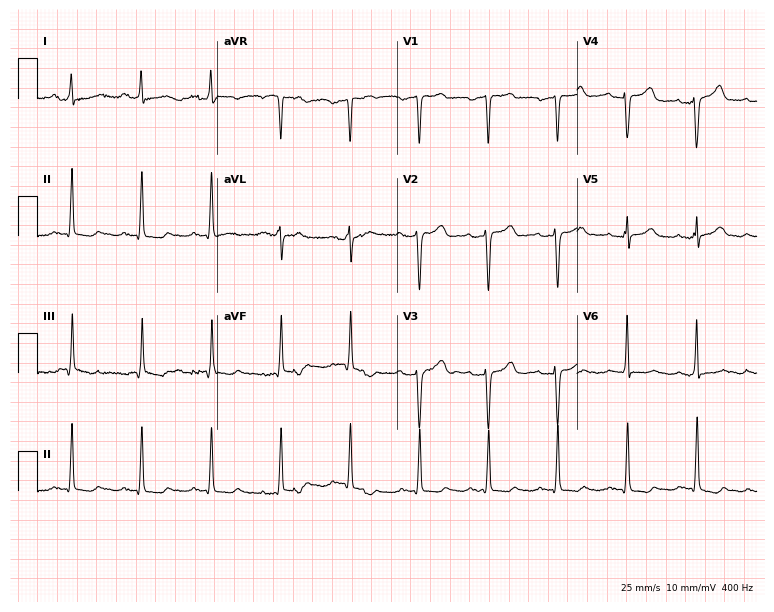
Standard 12-lead ECG recorded from a 58-year-old woman (7.3-second recording at 400 Hz). None of these six findings is recorded: first-degree AV block, right bundle branch block, left bundle branch block, sinus bradycardia, atrial fibrillation, sinus tachycardia.